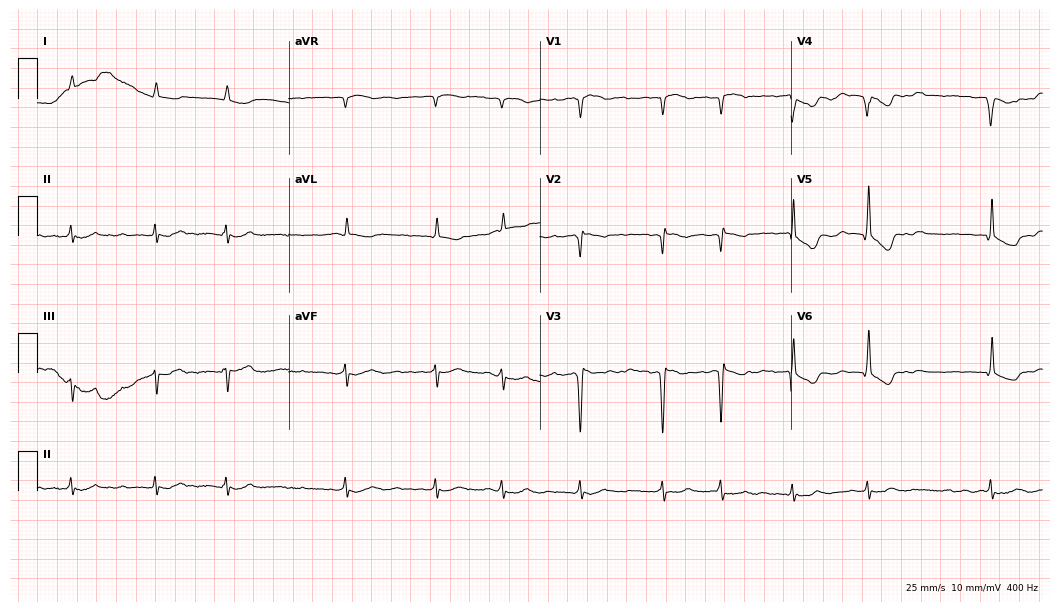
ECG (10.2-second recording at 400 Hz) — a man, 69 years old. Findings include atrial fibrillation.